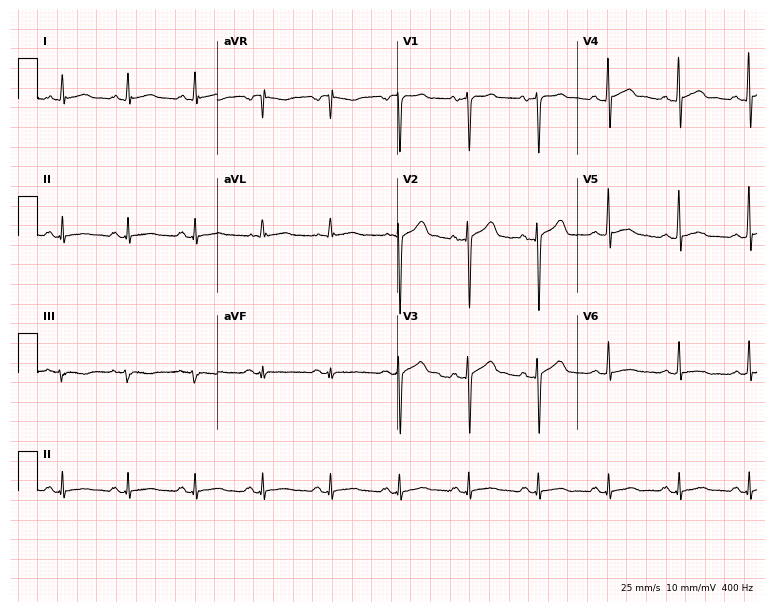
Electrocardiogram (7.3-second recording at 400 Hz), a 54-year-old male. Of the six screened findings (first-degree AV block, right bundle branch block, left bundle branch block, sinus bradycardia, atrial fibrillation, sinus tachycardia), none is recorded.